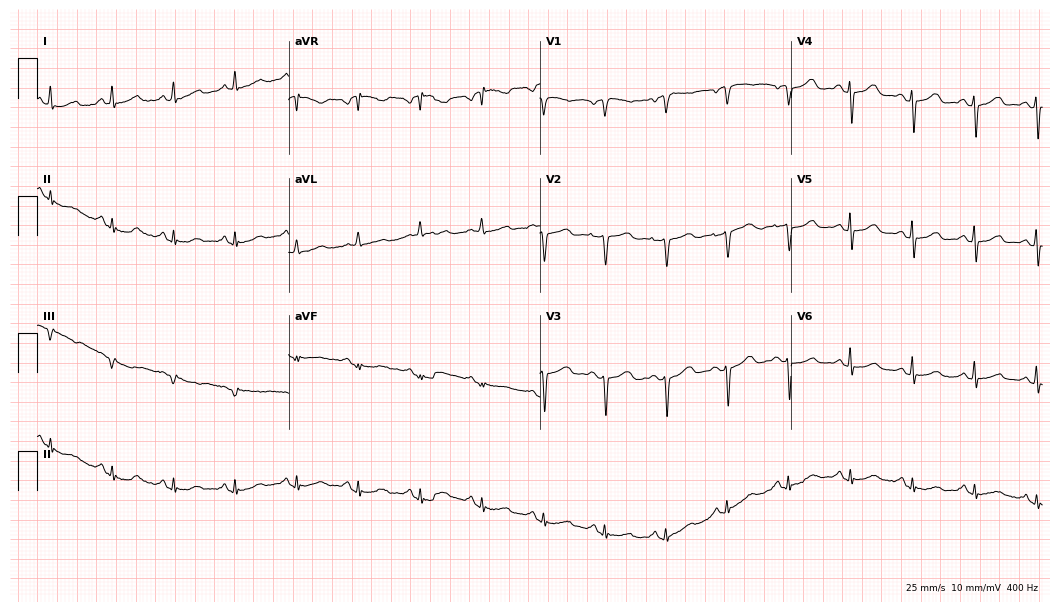
12-lead ECG (10.2-second recording at 400 Hz) from a woman, 74 years old. Screened for six findings — first-degree AV block, right bundle branch block, left bundle branch block, sinus bradycardia, atrial fibrillation, sinus tachycardia — none is recorded. Findings outside these six are not listed.